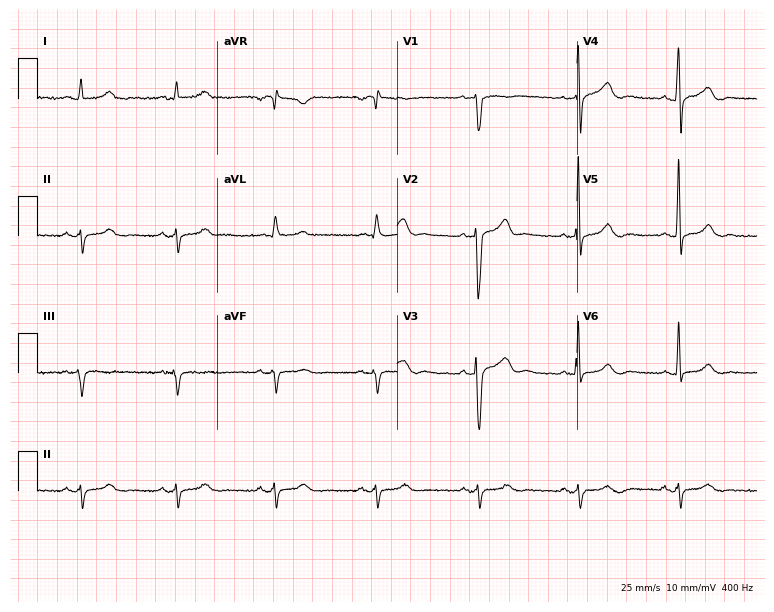
Electrocardiogram, a male patient, 55 years old. Of the six screened findings (first-degree AV block, right bundle branch block, left bundle branch block, sinus bradycardia, atrial fibrillation, sinus tachycardia), none is recorded.